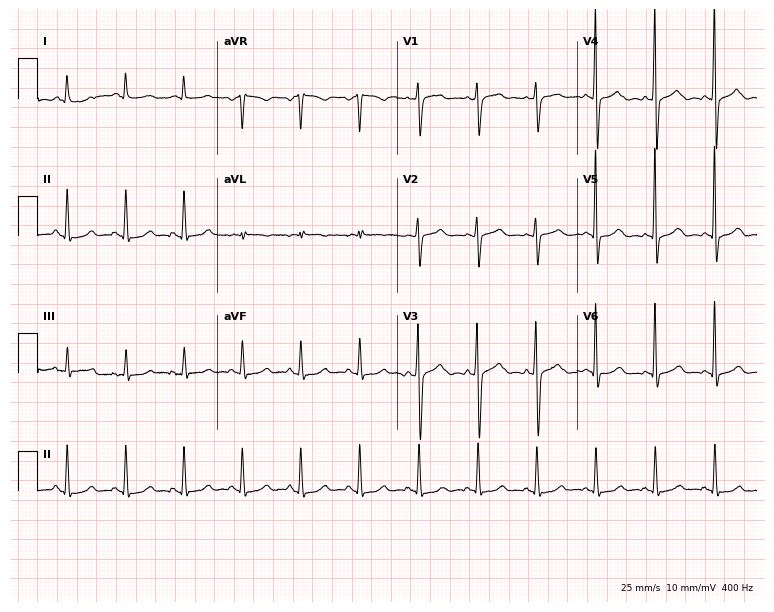
Electrocardiogram, a female patient, 51 years old. Overall reading on record: normal ECG.